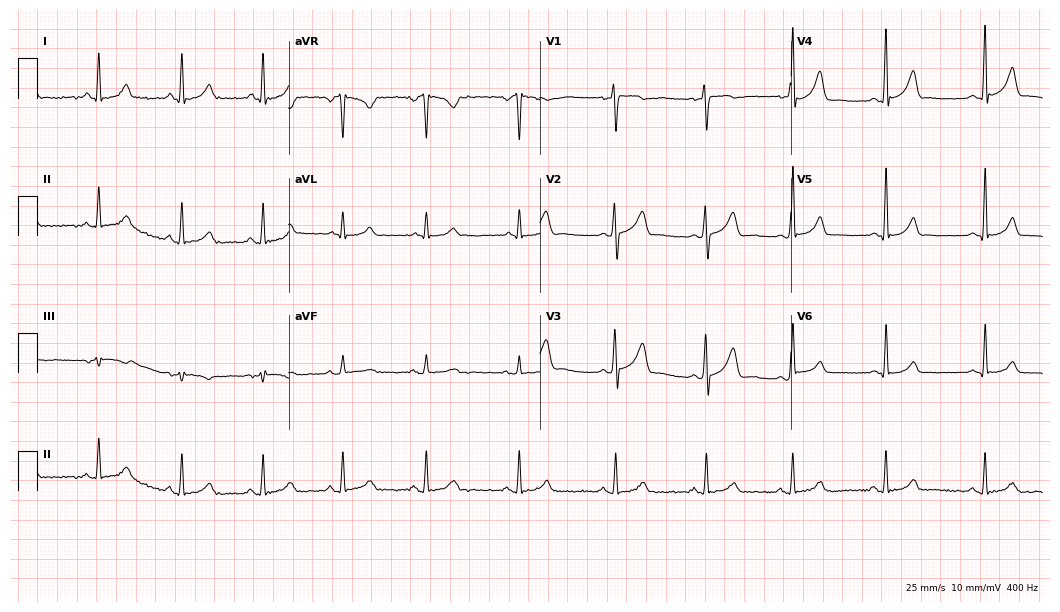
Standard 12-lead ECG recorded from a female patient, 25 years old. None of these six findings is recorded: first-degree AV block, right bundle branch block (RBBB), left bundle branch block (LBBB), sinus bradycardia, atrial fibrillation (AF), sinus tachycardia.